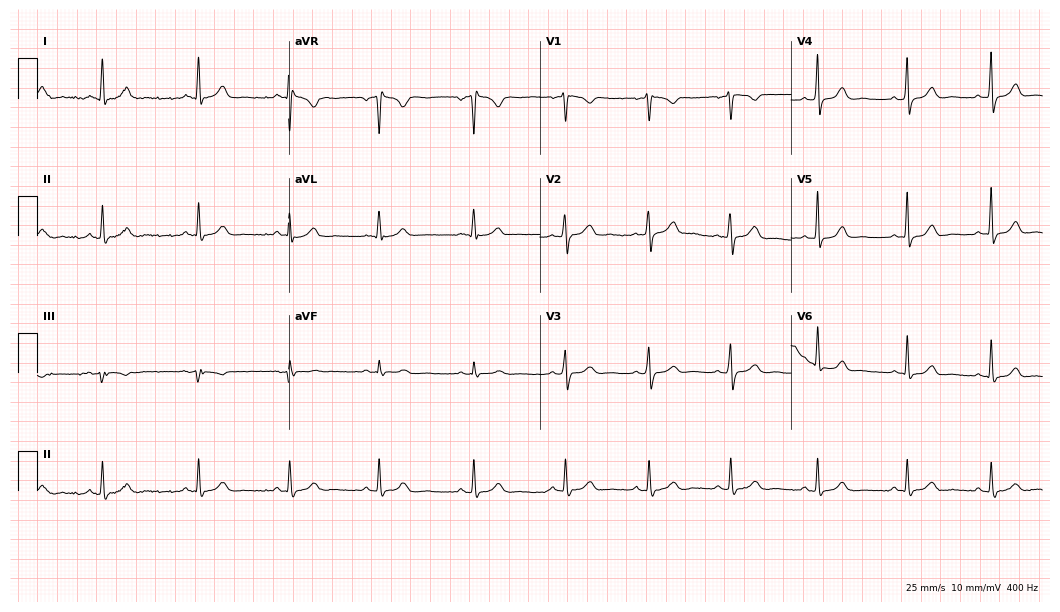
12-lead ECG from a woman, 19 years old. Recorded interpretation: within normal limits.